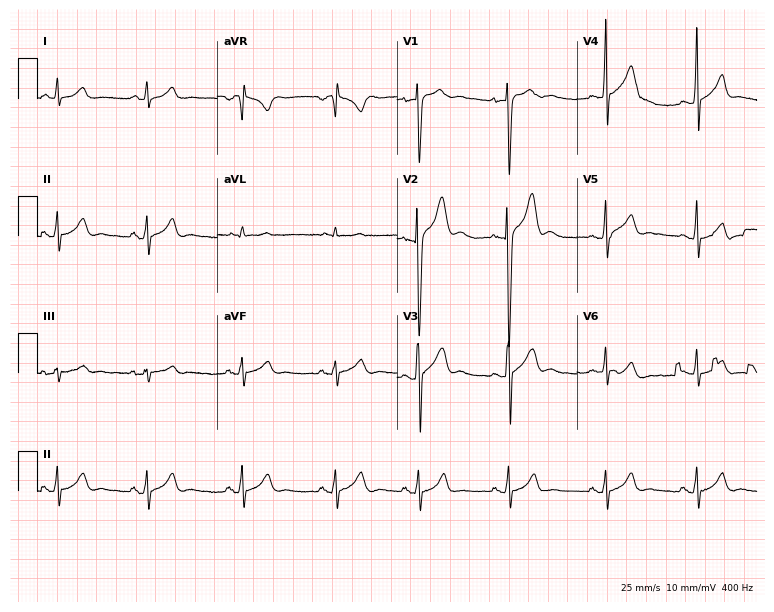
12-lead ECG from a male, 18 years old (7.3-second recording at 400 Hz). Recorded interpretation: within normal limits.